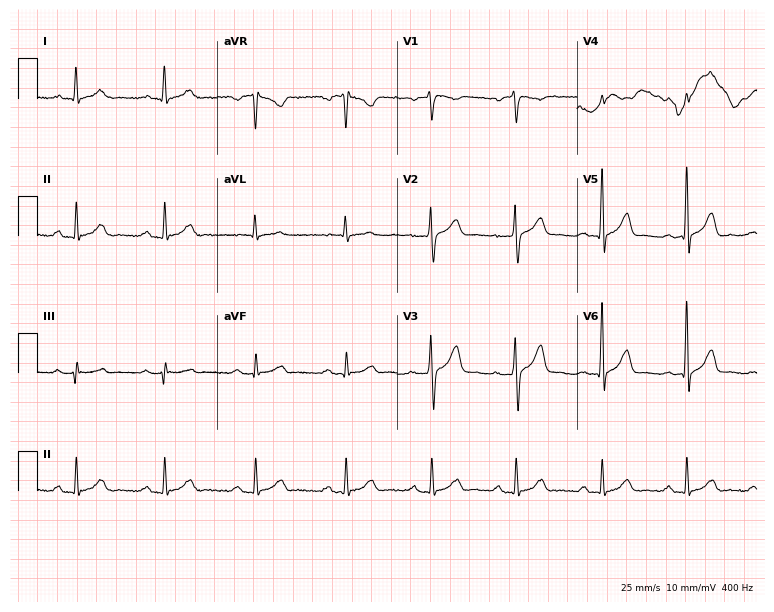
Electrocardiogram, a 45-year-old male patient. Interpretation includes first-degree AV block.